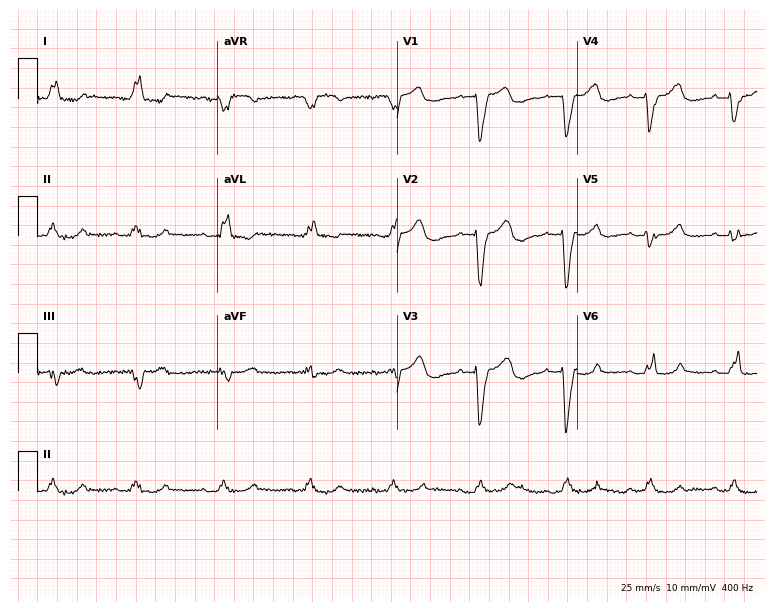
Resting 12-lead electrocardiogram (7.3-second recording at 400 Hz). Patient: a female, 82 years old. The tracing shows left bundle branch block.